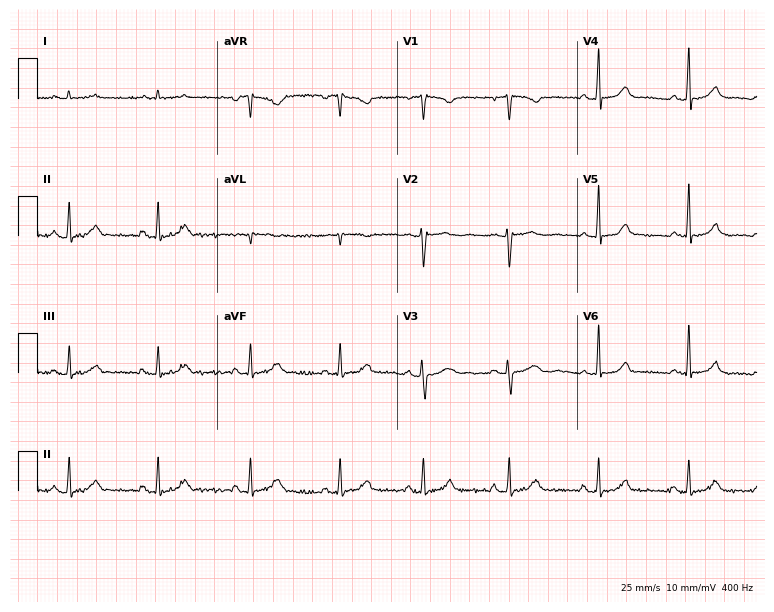
12-lead ECG from a female, 29 years old (7.3-second recording at 400 Hz). No first-degree AV block, right bundle branch block, left bundle branch block, sinus bradycardia, atrial fibrillation or sinus tachycardia recorded for this tracing. Other findings, if any, are not listed.